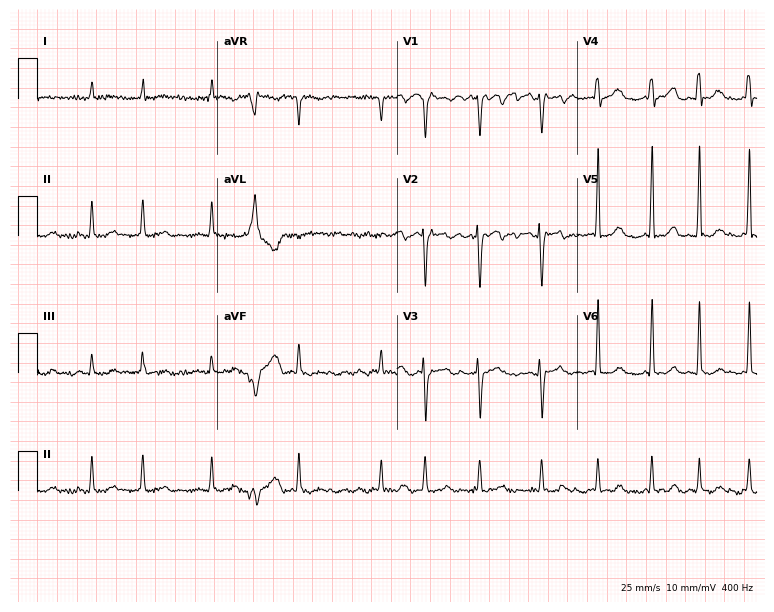
12-lead ECG (7.3-second recording at 400 Hz) from a 74-year-old female. Findings include atrial fibrillation (AF).